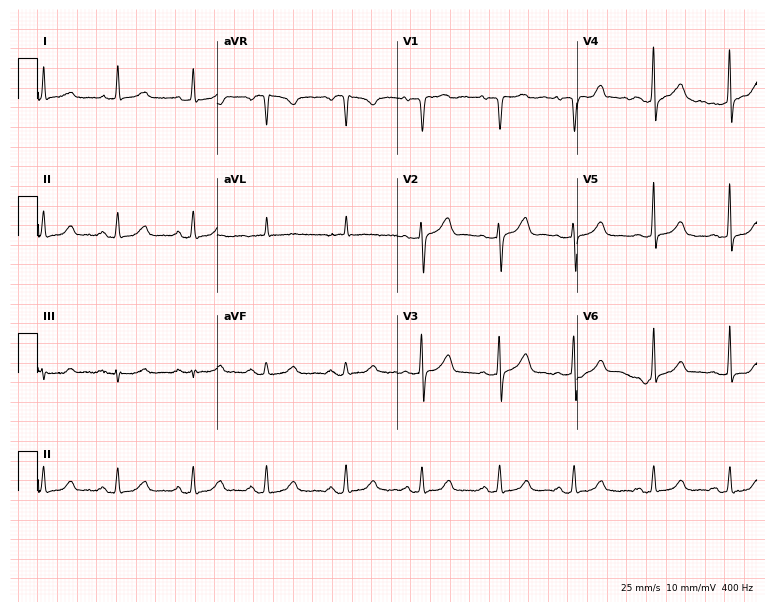
12-lead ECG (7.3-second recording at 400 Hz) from a female, 60 years old. Screened for six findings — first-degree AV block, right bundle branch block, left bundle branch block, sinus bradycardia, atrial fibrillation, sinus tachycardia — none is recorded.